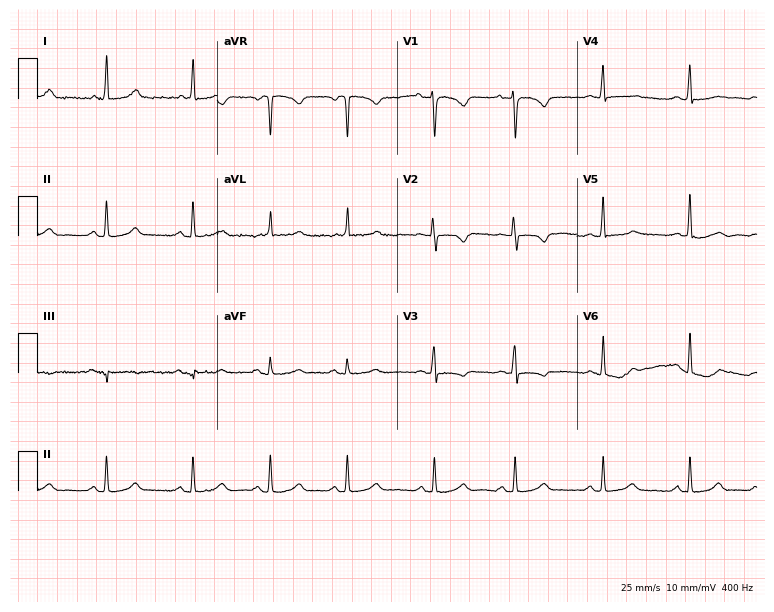
Electrocardiogram (7.3-second recording at 400 Hz), a 26-year-old female patient. Overall reading on record: normal ECG.